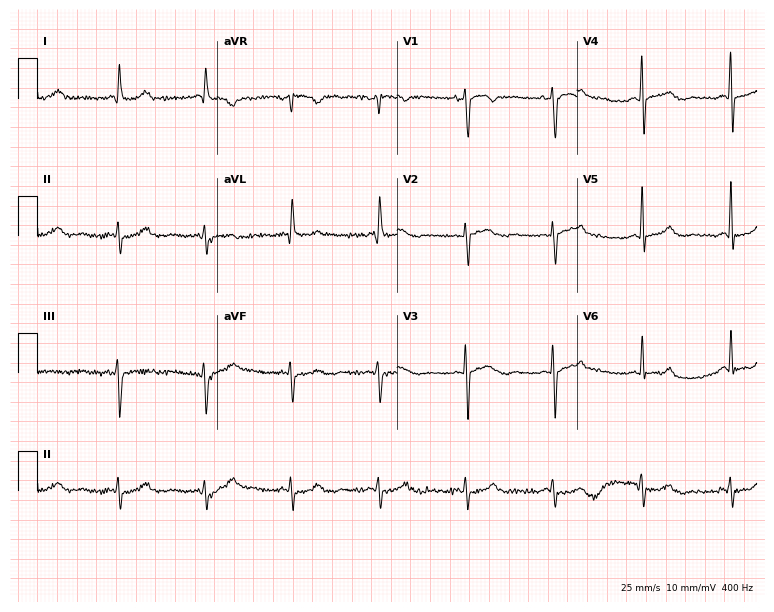
12-lead ECG from a male patient, 73 years old. No first-degree AV block, right bundle branch block, left bundle branch block, sinus bradycardia, atrial fibrillation or sinus tachycardia recorded for this tracing. Other findings, if any, are not listed.